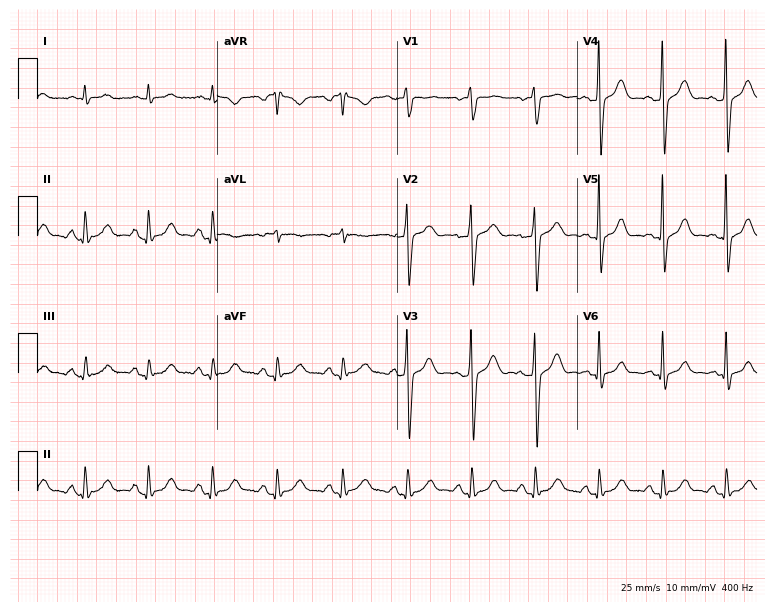
12-lead ECG (7.3-second recording at 400 Hz) from a male, 61 years old. Labelled as a normal ECG.